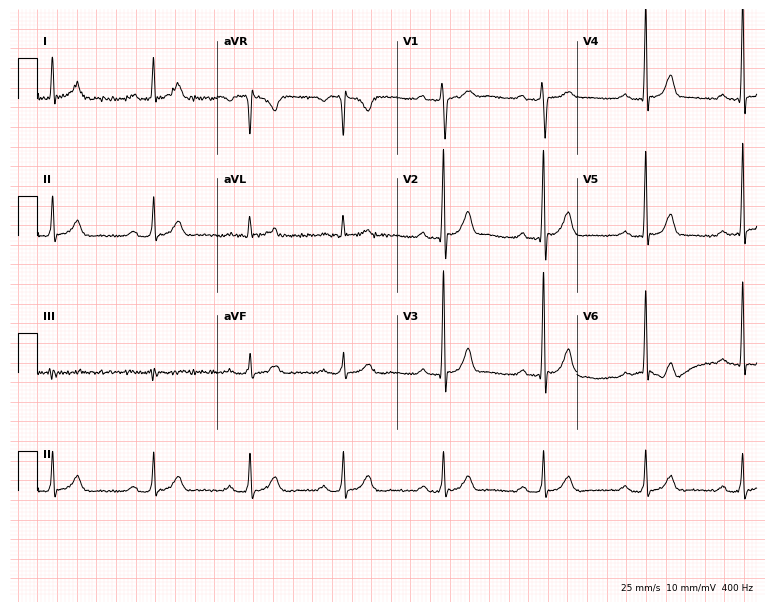
ECG (7.3-second recording at 400 Hz) — a male, 37 years old. Labelled as a normal ECG.